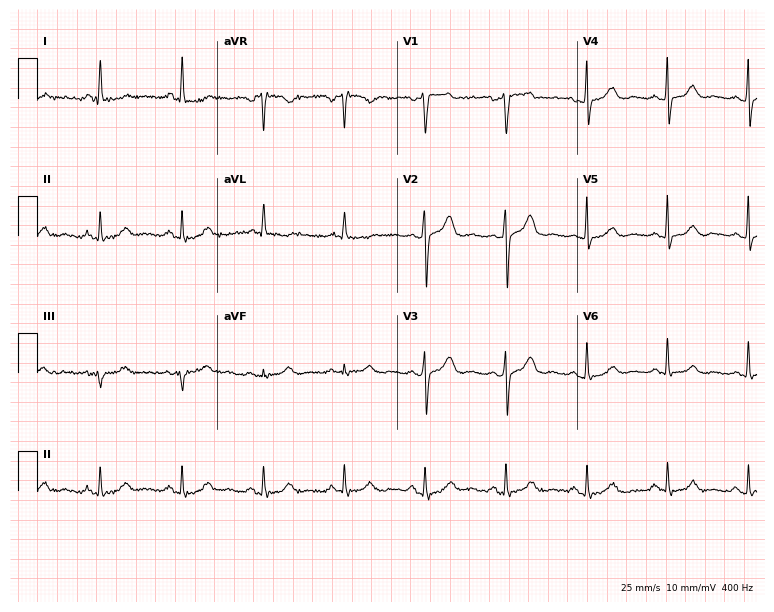
ECG — a 71-year-old male. Labelled as a normal ECG.